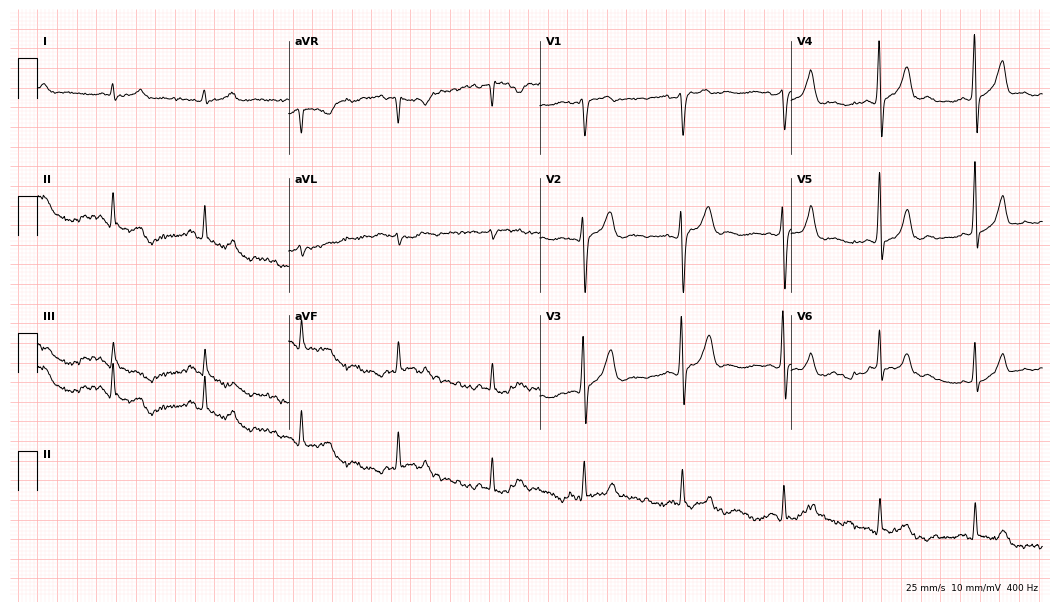
Standard 12-lead ECG recorded from a man, 55 years old (10.2-second recording at 400 Hz). Read as a normal ECG.